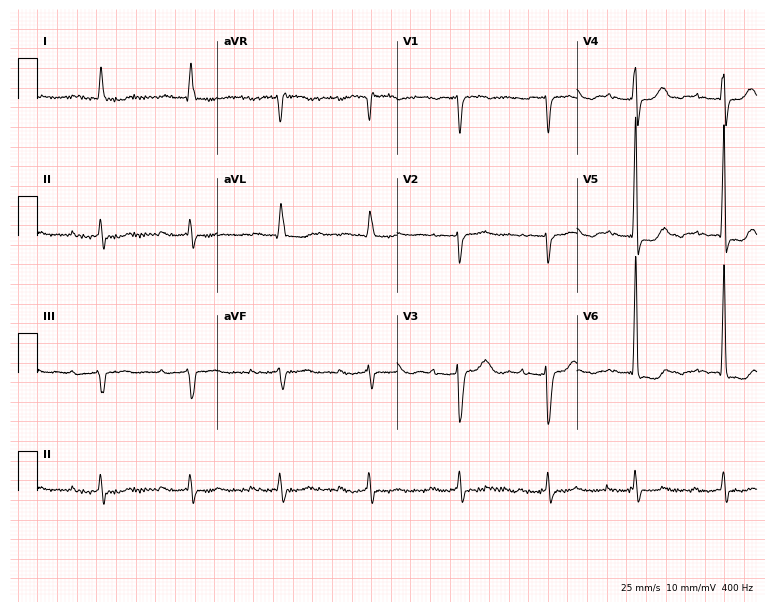
Resting 12-lead electrocardiogram. Patient: an 82-year-old female. None of these six findings is recorded: first-degree AV block, right bundle branch block, left bundle branch block, sinus bradycardia, atrial fibrillation, sinus tachycardia. Other findings, if any, are not listed.